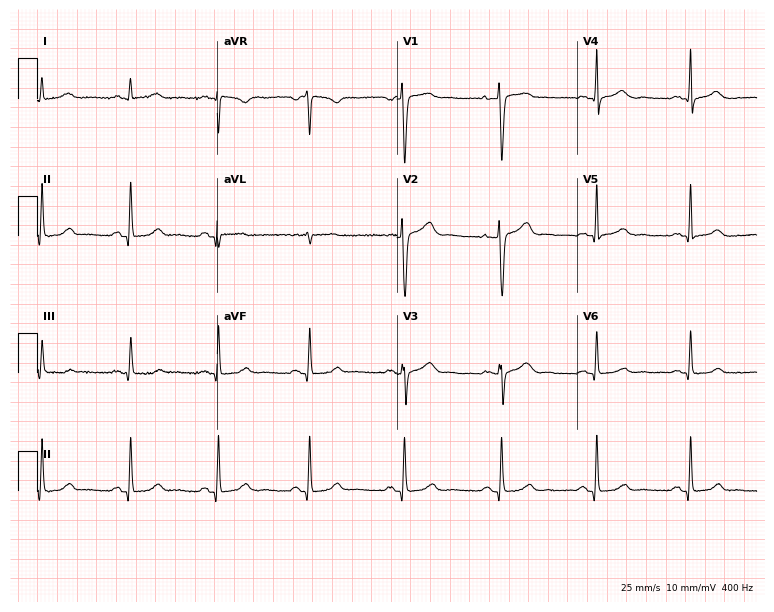
Electrocardiogram (7.3-second recording at 400 Hz), a female, 55 years old. Overall reading on record: normal ECG.